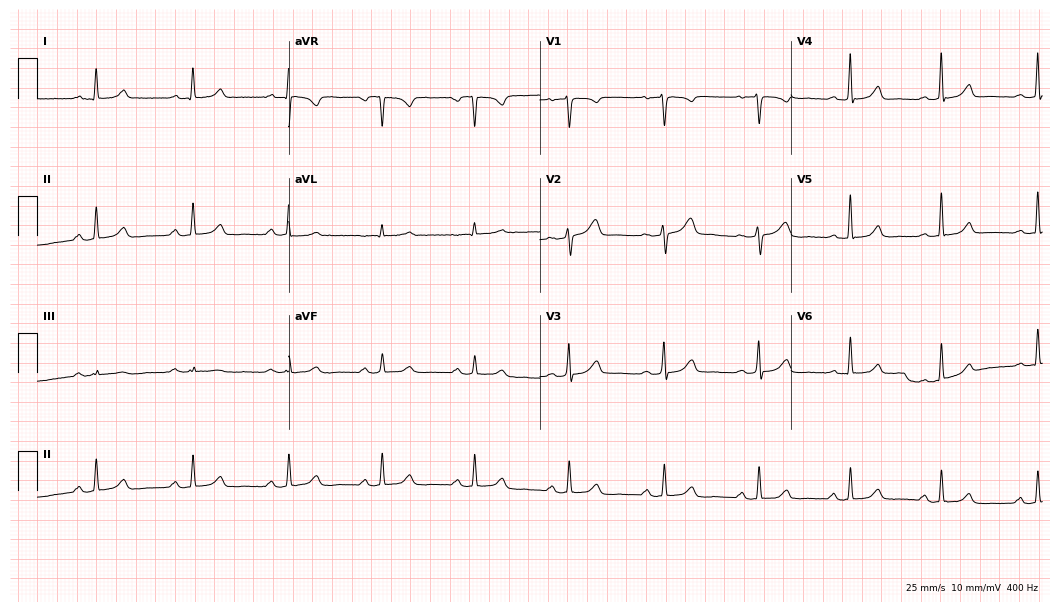
12-lead ECG from a 40-year-old female patient. Labelled as a normal ECG.